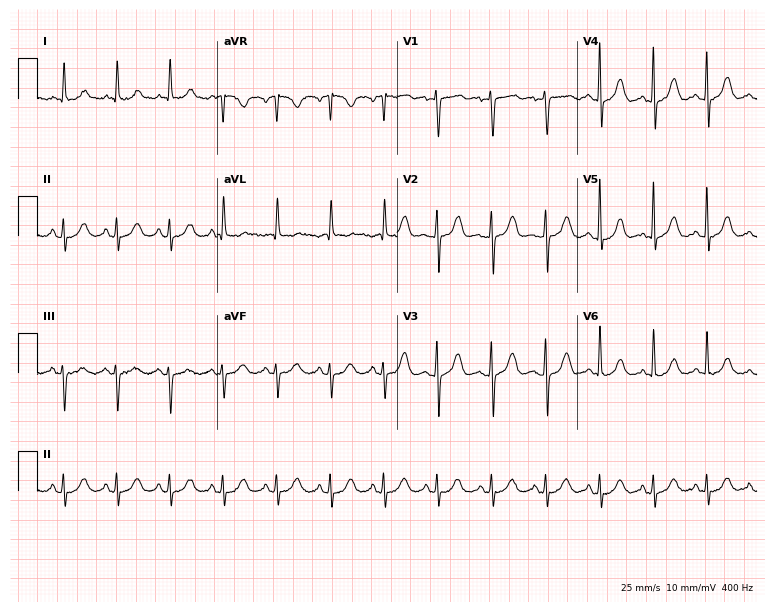
Resting 12-lead electrocardiogram (7.3-second recording at 400 Hz). Patient: a female, 84 years old. None of these six findings is recorded: first-degree AV block, right bundle branch block (RBBB), left bundle branch block (LBBB), sinus bradycardia, atrial fibrillation (AF), sinus tachycardia.